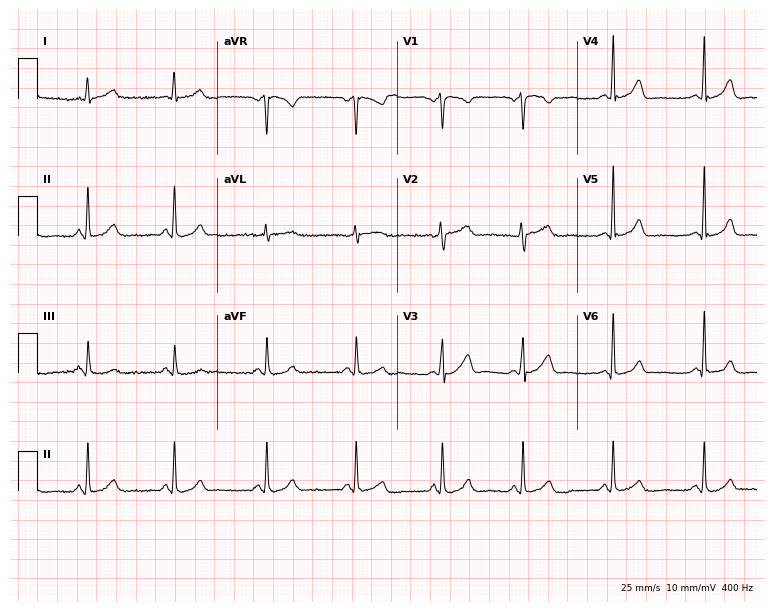
Standard 12-lead ECG recorded from a female, 40 years old (7.3-second recording at 400 Hz). Read as a normal ECG.